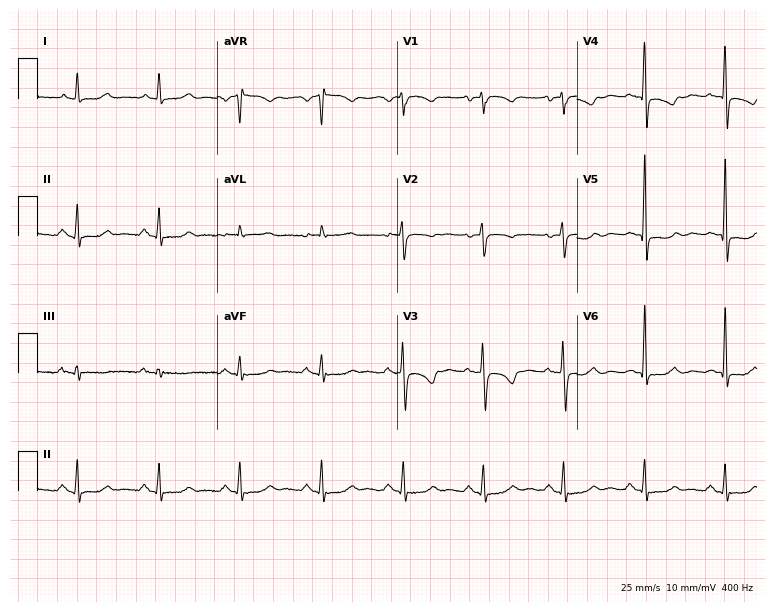
12-lead ECG from a 75-year-old woman. Screened for six findings — first-degree AV block, right bundle branch block, left bundle branch block, sinus bradycardia, atrial fibrillation, sinus tachycardia — none is recorded. Findings outside these six are not listed.